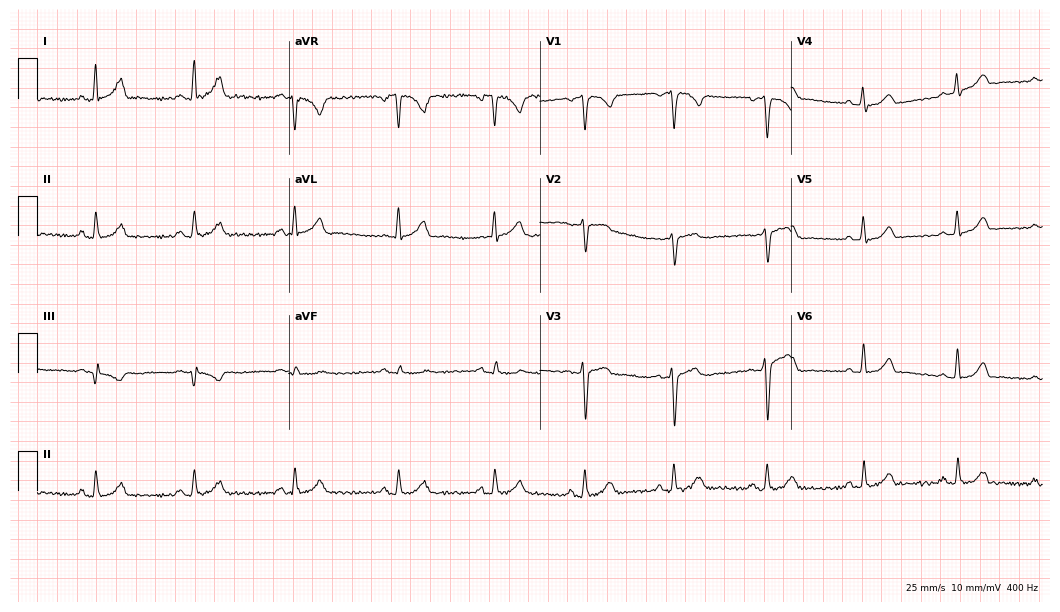
Resting 12-lead electrocardiogram. Patient: a 43-year-old female. Read as a normal ECG.